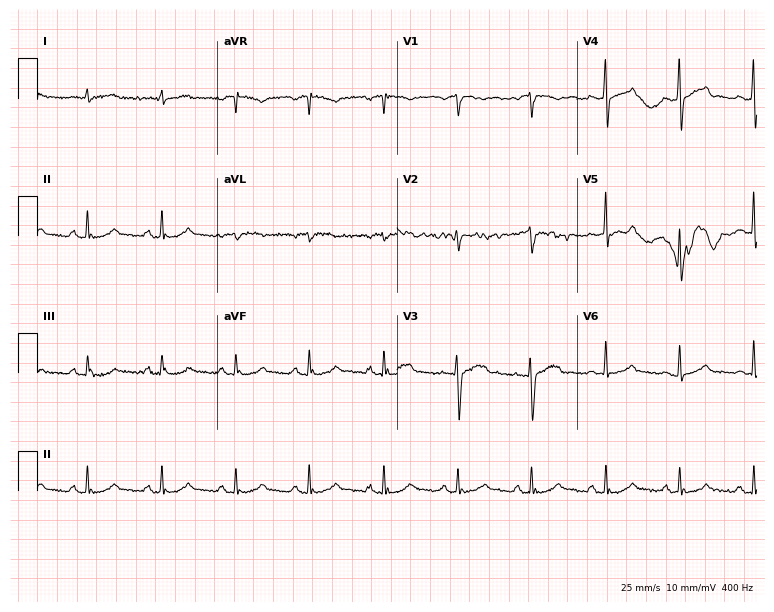
Standard 12-lead ECG recorded from a 74-year-old man (7.3-second recording at 400 Hz). Read as a normal ECG.